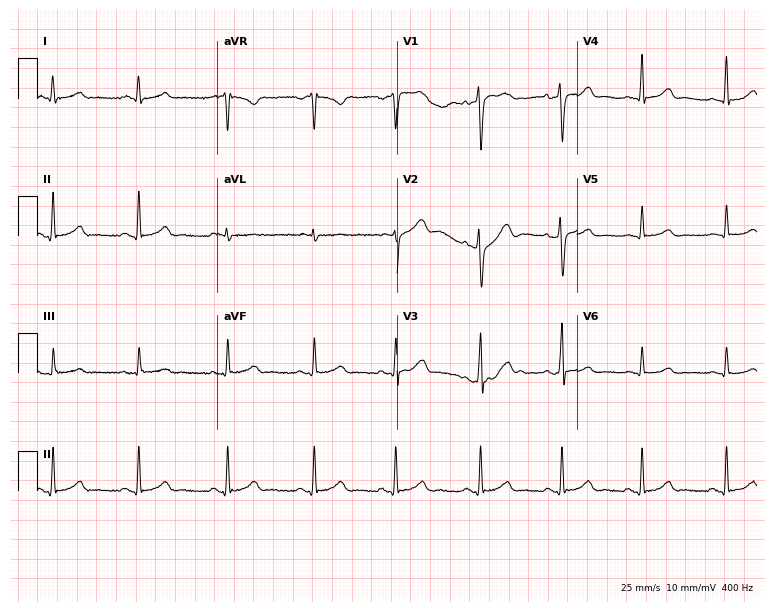
Resting 12-lead electrocardiogram (7.3-second recording at 400 Hz). Patient: a 21-year-old woman. Read as a normal ECG.